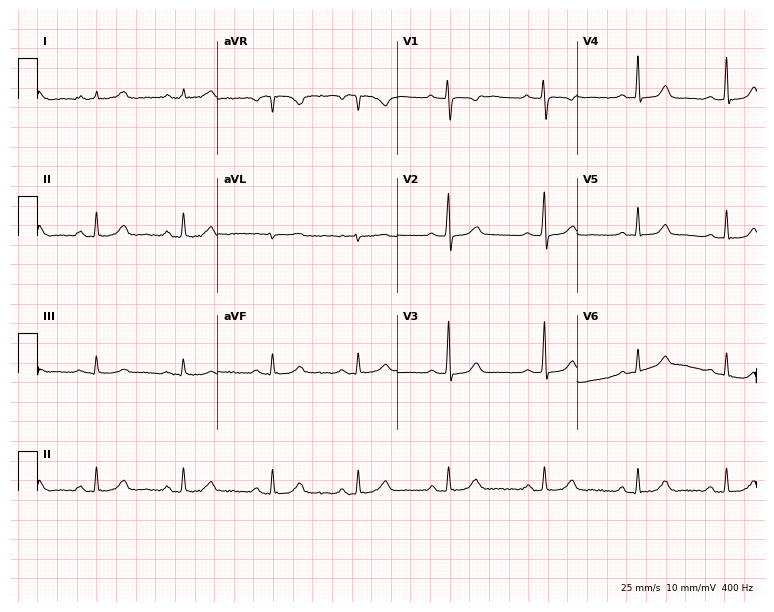
12-lead ECG from a female patient, 35 years old (7.3-second recording at 400 Hz). No first-degree AV block, right bundle branch block, left bundle branch block, sinus bradycardia, atrial fibrillation or sinus tachycardia recorded for this tracing.